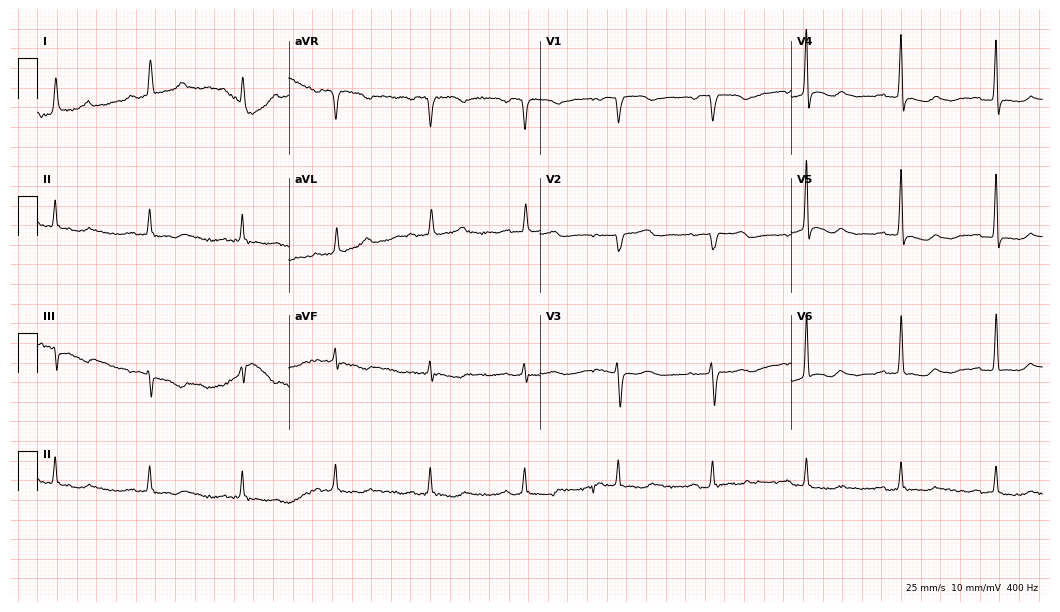
12-lead ECG from a 71-year-old woman (10.2-second recording at 400 Hz). Shows first-degree AV block.